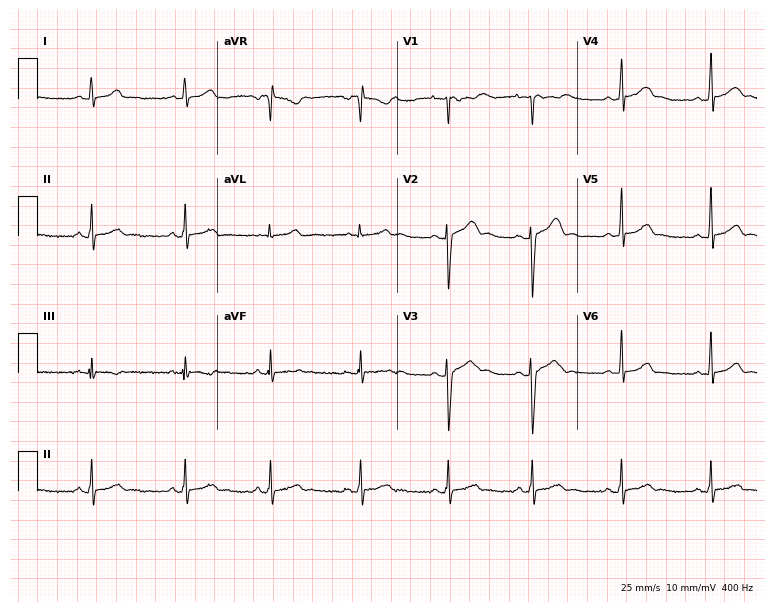
ECG — a 19-year-old female. Labelled as a normal ECG.